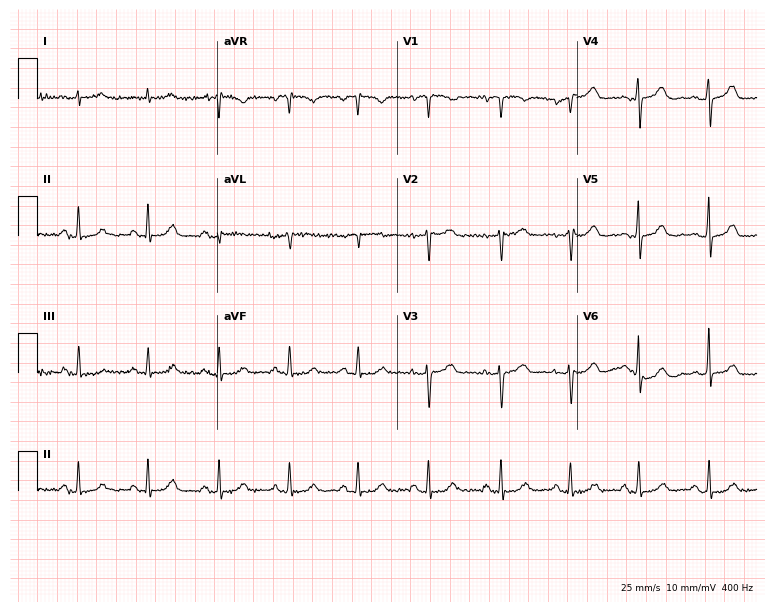
12-lead ECG from a female patient, 83 years old. Recorded interpretation: within normal limits.